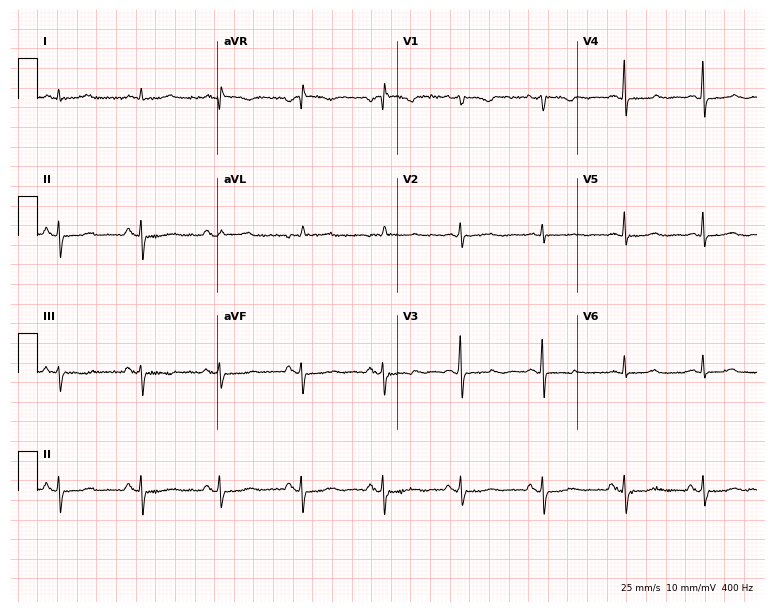
12-lead ECG from a woman, 73 years old (7.3-second recording at 400 Hz). No first-degree AV block, right bundle branch block (RBBB), left bundle branch block (LBBB), sinus bradycardia, atrial fibrillation (AF) or sinus tachycardia recorded for this tracing. Findings outside these six are not listed.